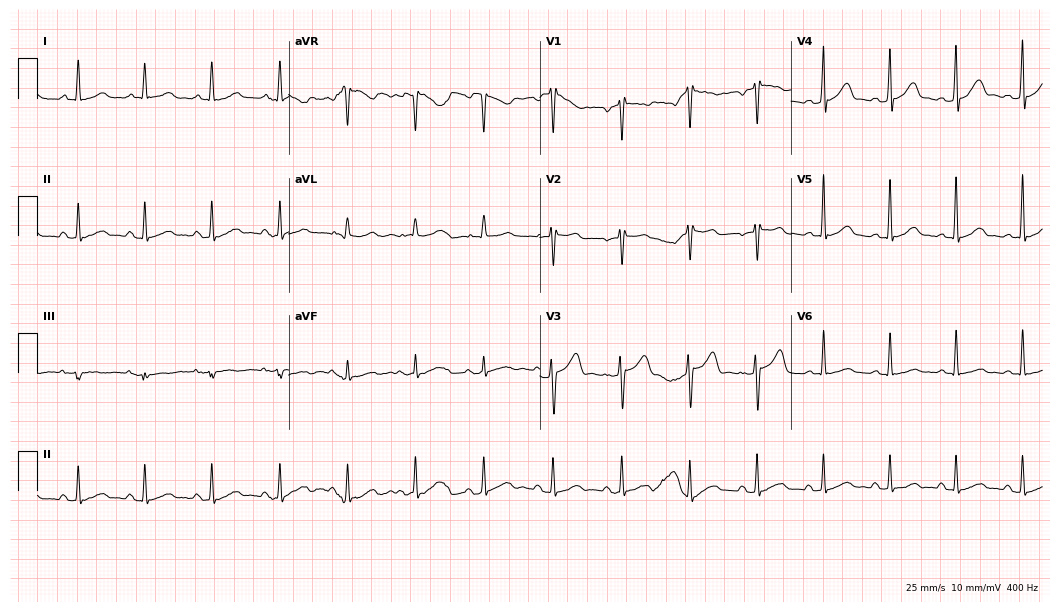
Standard 12-lead ECG recorded from a male, 43 years old. None of these six findings is recorded: first-degree AV block, right bundle branch block (RBBB), left bundle branch block (LBBB), sinus bradycardia, atrial fibrillation (AF), sinus tachycardia.